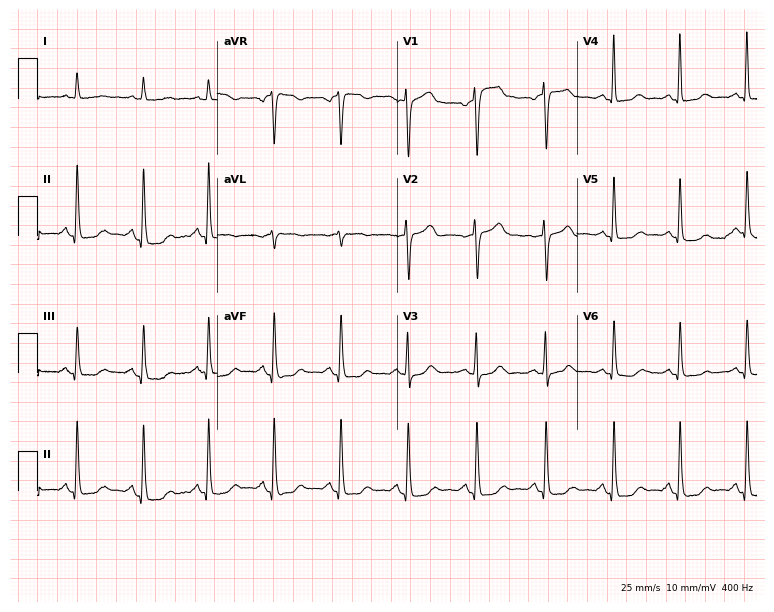
Electrocardiogram, a woman, 68 years old. Of the six screened findings (first-degree AV block, right bundle branch block, left bundle branch block, sinus bradycardia, atrial fibrillation, sinus tachycardia), none is recorded.